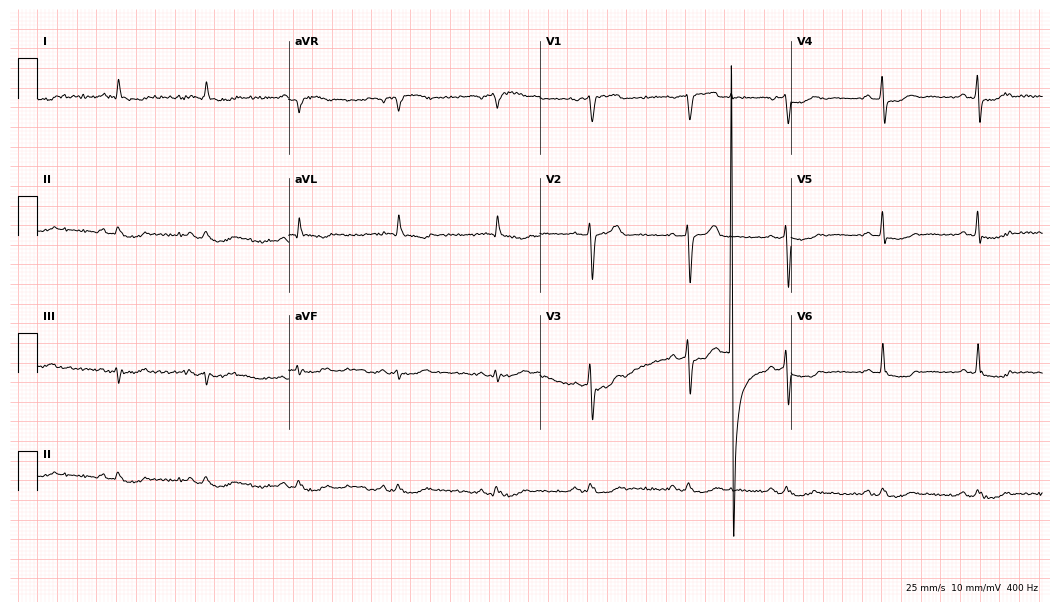
12-lead ECG from a male patient, 70 years old. Screened for six findings — first-degree AV block, right bundle branch block, left bundle branch block, sinus bradycardia, atrial fibrillation, sinus tachycardia — none is recorded. Findings outside these six are not listed.